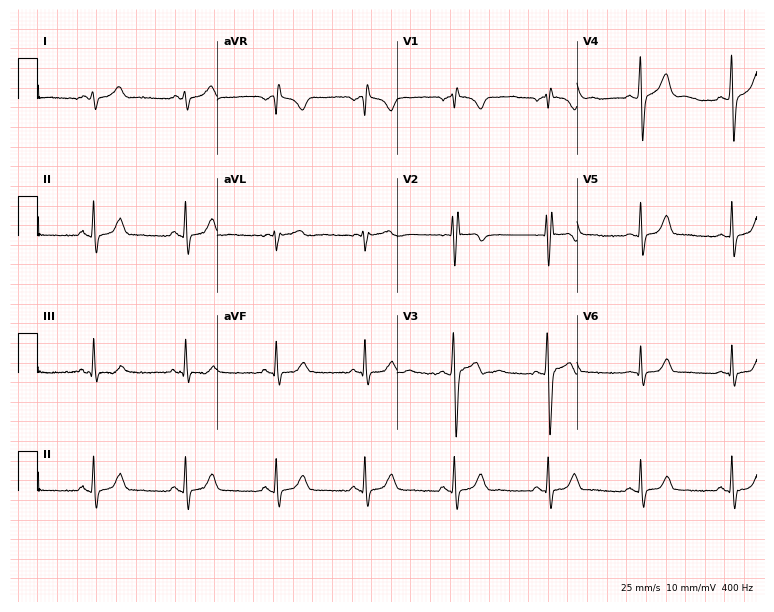
12-lead ECG (7.3-second recording at 400 Hz) from a 27-year-old man. Screened for six findings — first-degree AV block, right bundle branch block, left bundle branch block, sinus bradycardia, atrial fibrillation, sinus tachycardia — none is recorded.